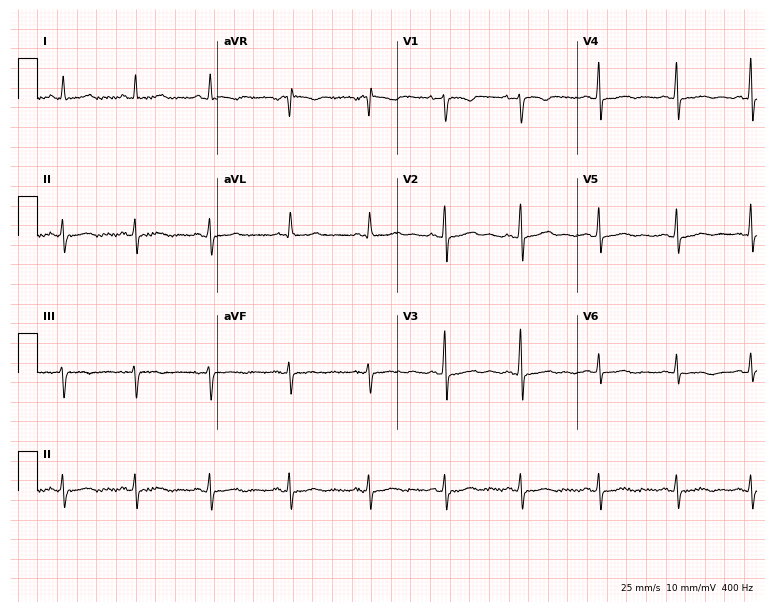
Electrocardiogram, a female, 41 years old. Overall reading on record: normal ECG.